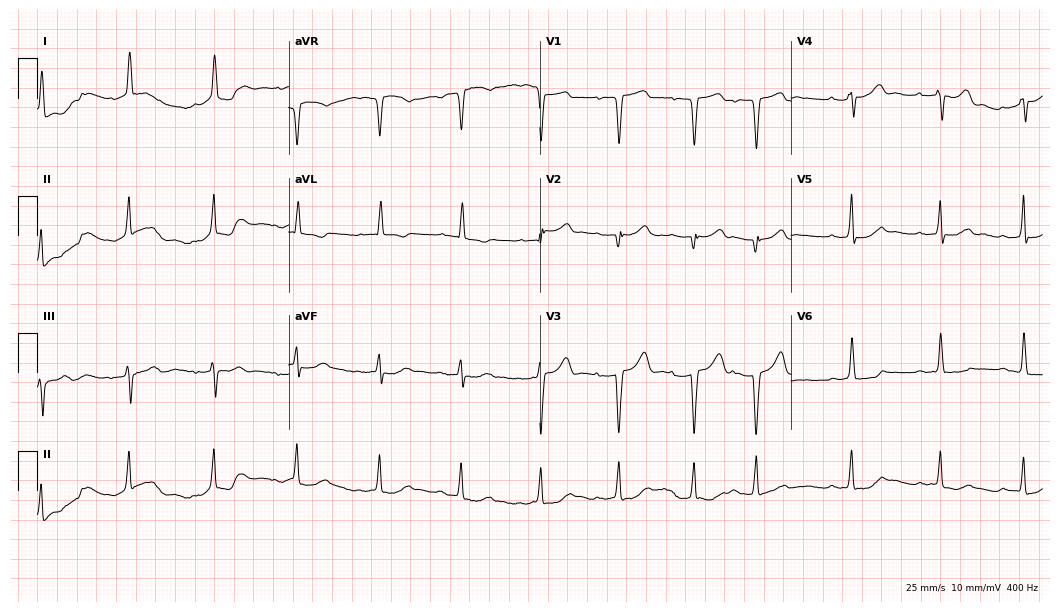
12-lead ECG (10.2-second recording at 400 Hz) from a 63-year-old female patient. Screened for six findings — first-degree AV block, right bundle branch block, left bundle branch block, sinus bradycardia, atrial fibrillation, sinus tachycardia — none is recorded.